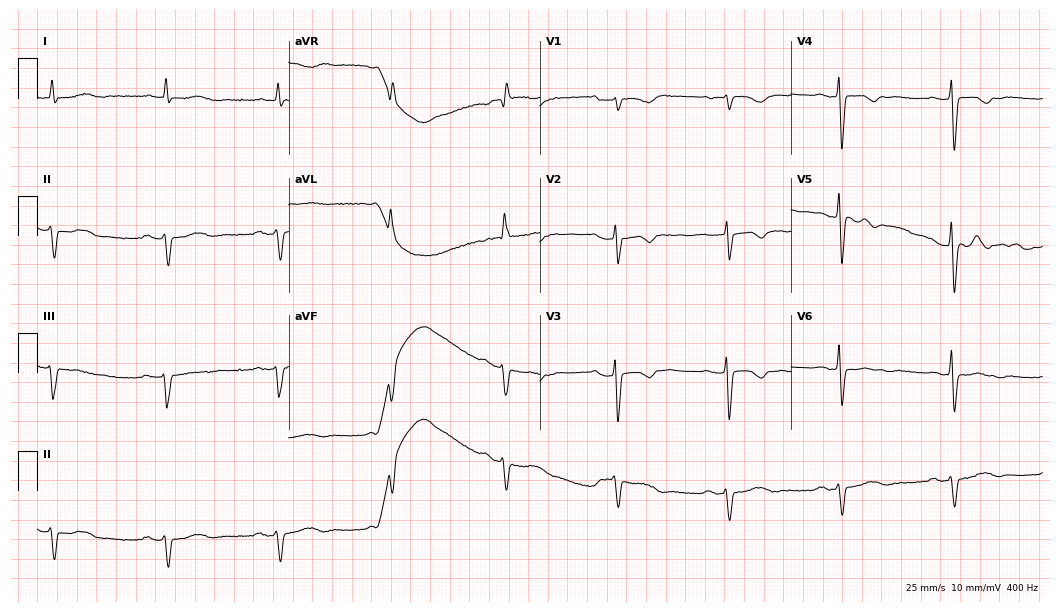
Electrocardiogram, a 76-year-old female patient. Of the six screened findings (first-degree AV block, right bundle branch block (RBBB), left bundle branch block (LBBB), sinus bradycardia, atrial fibrillation (AF), sinus tachycardia), none is recorded.